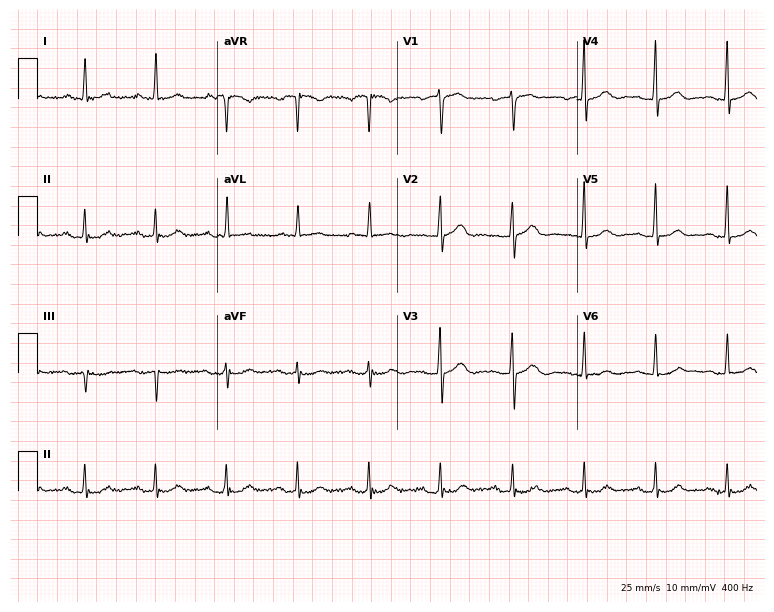
Standard 12-lead ECG recorded from a 76-year-old female patient. None of these six findings is recorded: first-degree AV block, right bundle branch block (RBBB), left bundle branch block (LBBB), sinus bradycardia, atrial fibrillation (AF), sinus tachycardia.